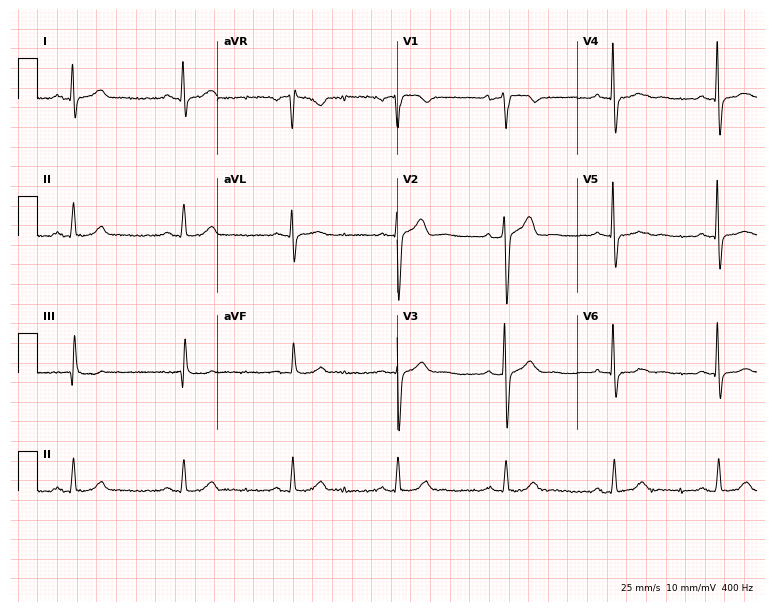
ECG — a male, 44 years old. Screened for six findings — first-degree AV block, right bundle branch block, left bundle branch block, sinus bradycardia, atrial fibrillation, sinus tachycardia — none is recorded. Only these six findings were labelled.